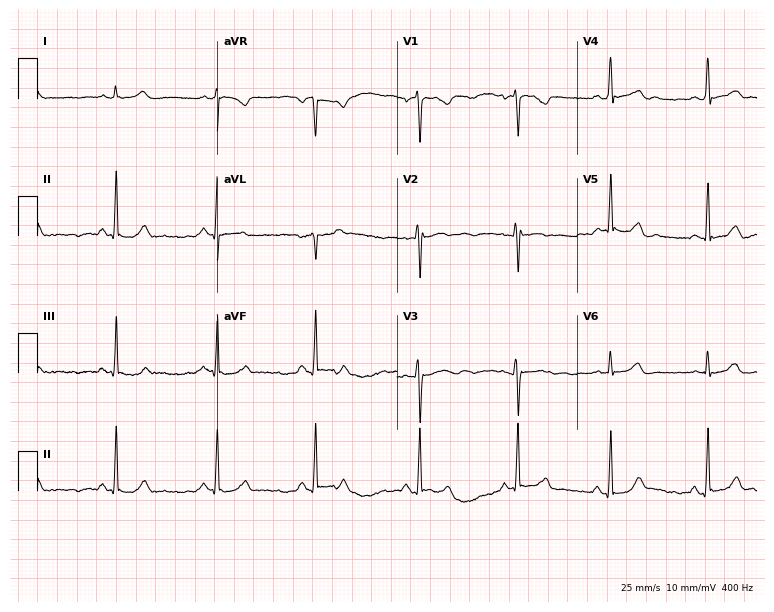
Resting 12-lead electrocardiogram (7.3-second recording at 400 Hz). Patient: a 24-year-old woman. Read as a normal ECG.